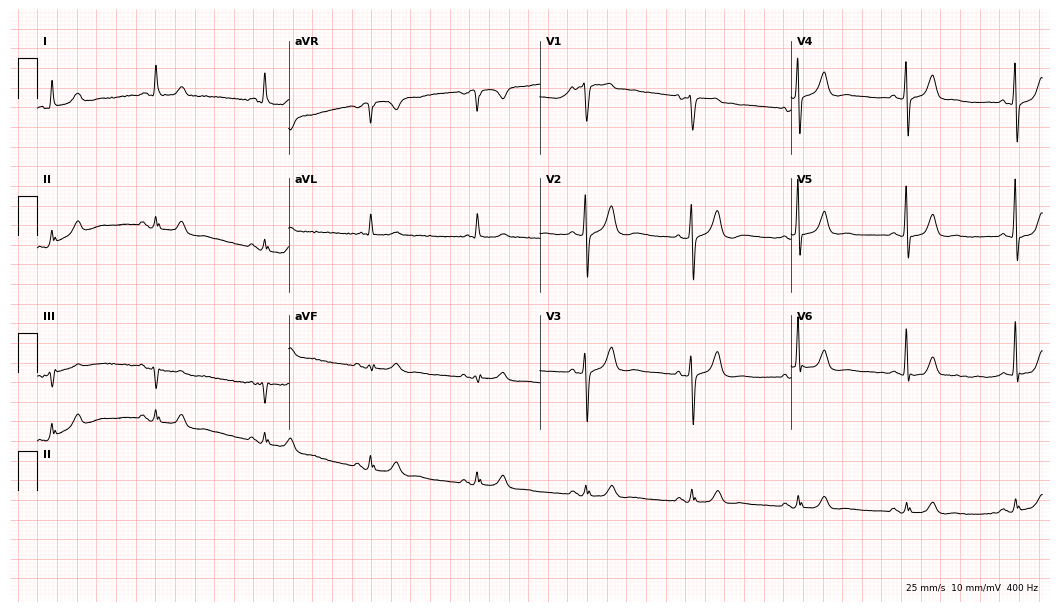
Standard 12-lead ECG recorded from a male, 85 years old (10.2-second recording at 400 Hz). Read as a normal ECG.